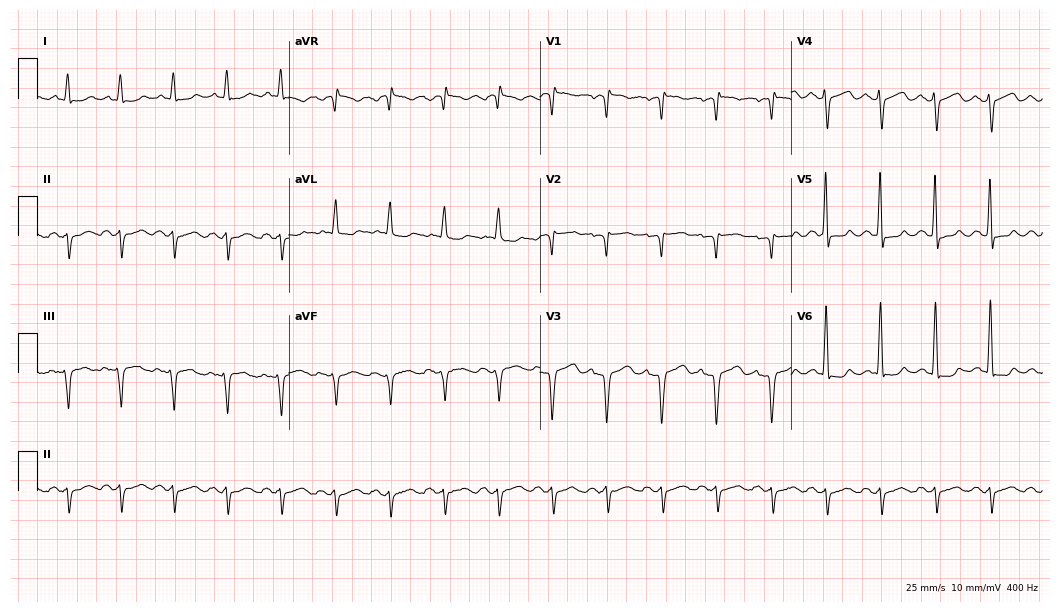
Electrocardiogram, a 64-year-old man. Interpretation includes sinus tachycardia (a sinus rate of 100 beats per minute or more).